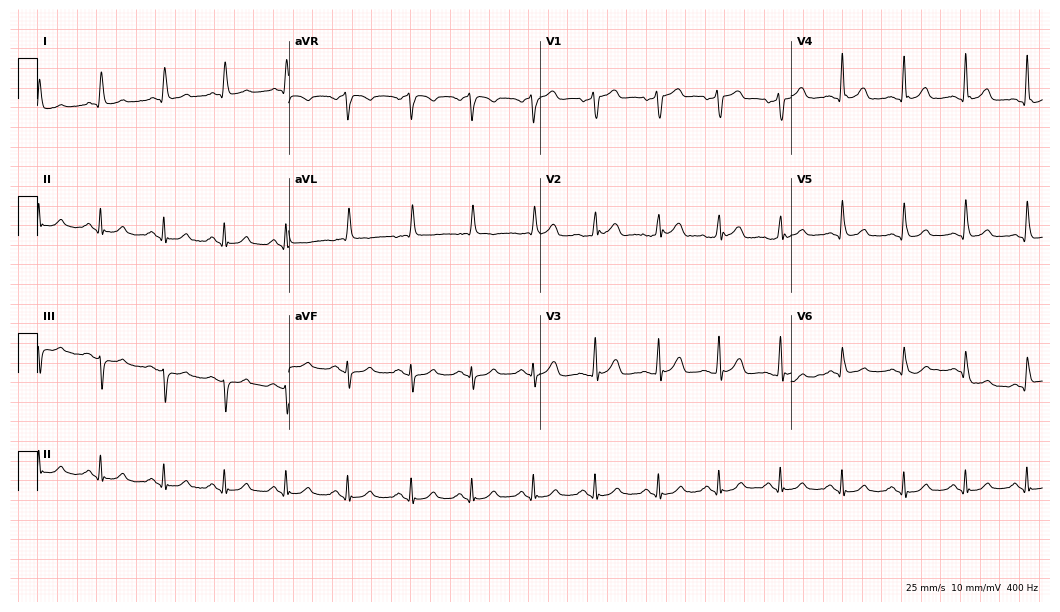
Electrocardiogram, a male patient, 76 years old. Of the six screened findings (first-degree AV block, right bundle branch block (RBBB), left bundle branch block (LBBB), sinus bradycardia, atrial fibrillation (AF), sinus tachycardia), none is recorded.